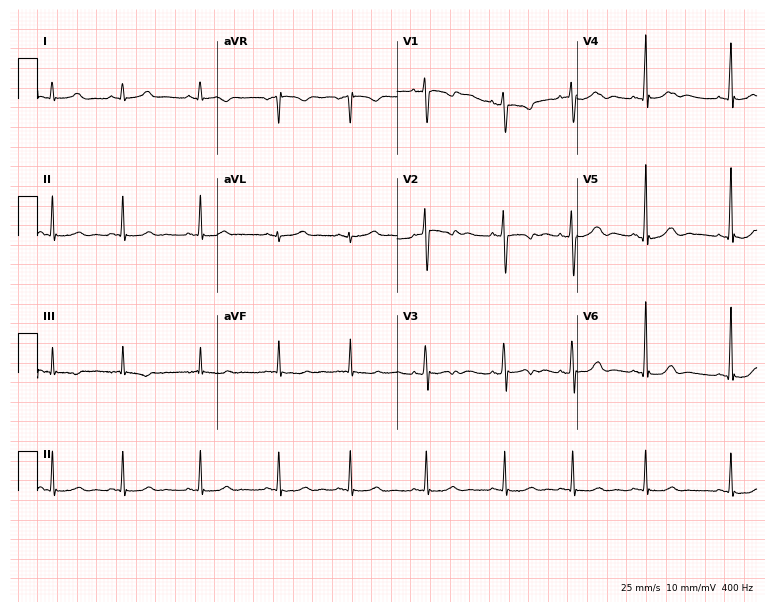
Standard 12-lead ECG recorded from a woman, 24 years old (7.3-second recording at 400 Hz). Read as a normal ECG.